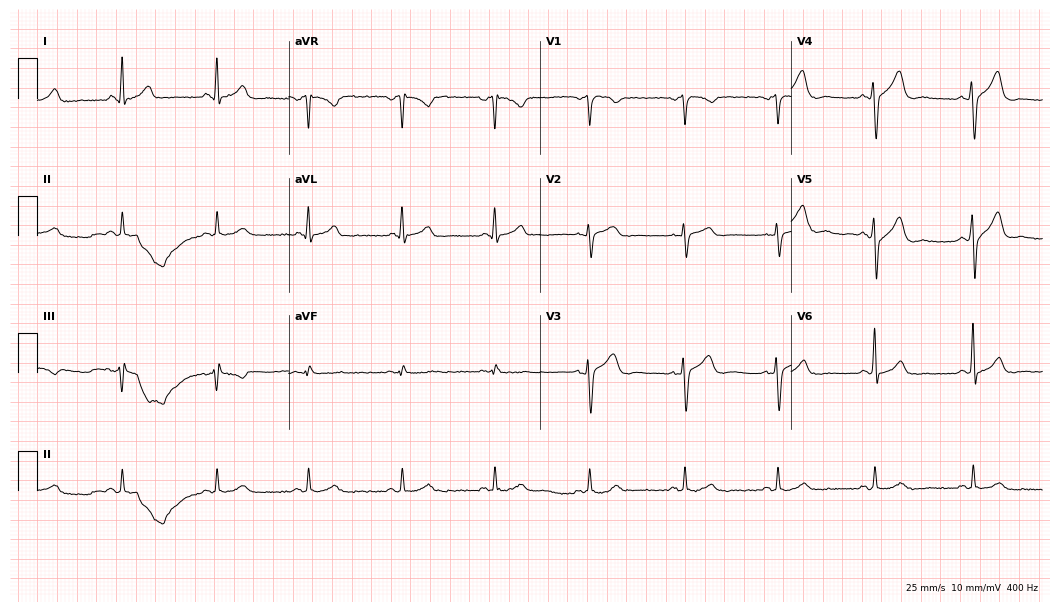
12-lead ECG from a 56-year-old male patient. Screened for six findings — first-degree AV block, right bundle branch block, left bundle branch block, sinus bradycardia, atrial fibrillation, sinus tachycardia — none is recorded. Only these six findings were labelled.